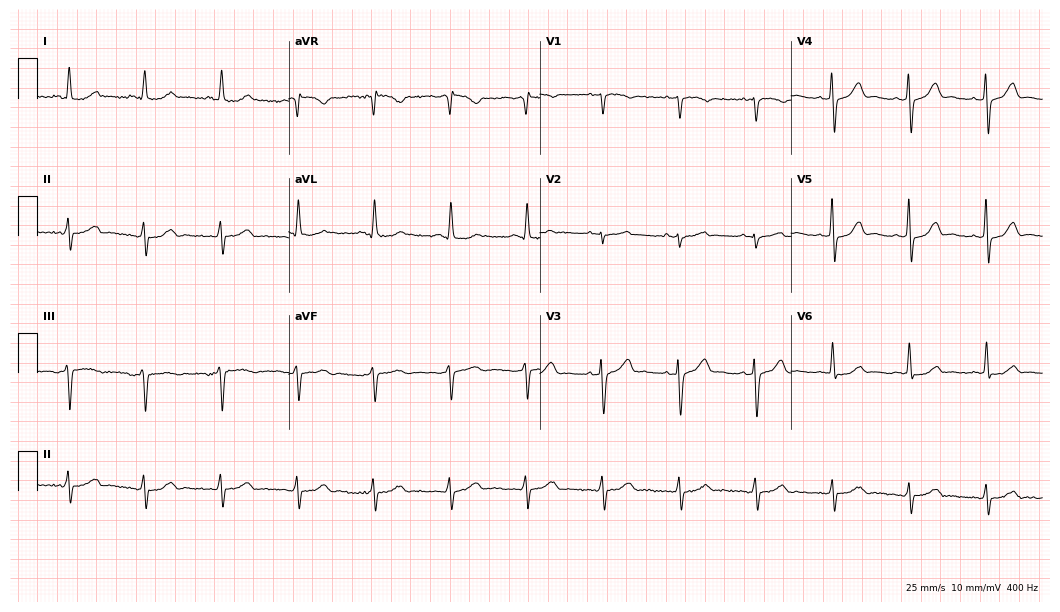
Electrocardiogram (10.2-second recording at 400 Hz), a woman, 81 years old. Overall reading on record: normal ECG.